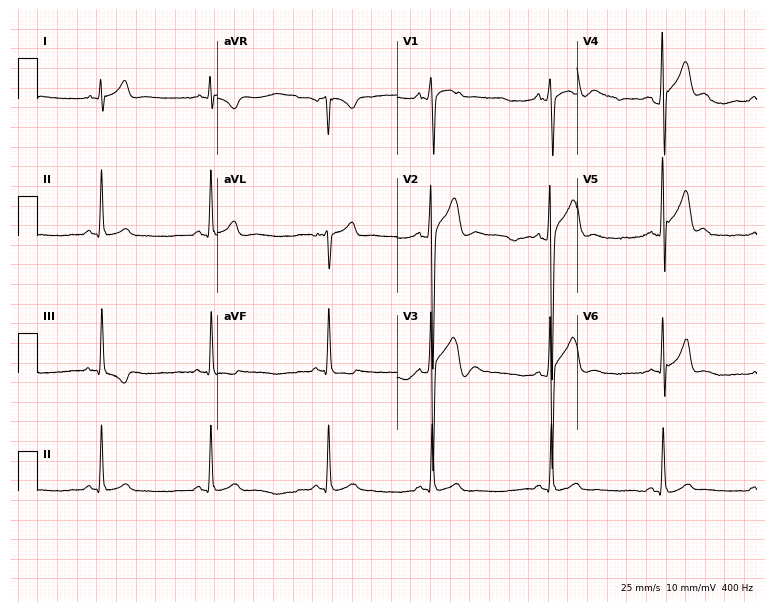
12-lead ECG (7.3-second recording at 400 Hz) from a male patient, 21 years old. Screened for six findings — first-degree AV block, right bundle branch block (RBBB), left bundle branch block (LBBB), sinus bradycardia, atrial fibrillation (AF), sinus tachycardia — none is recorded. Only these six findings were labelled.